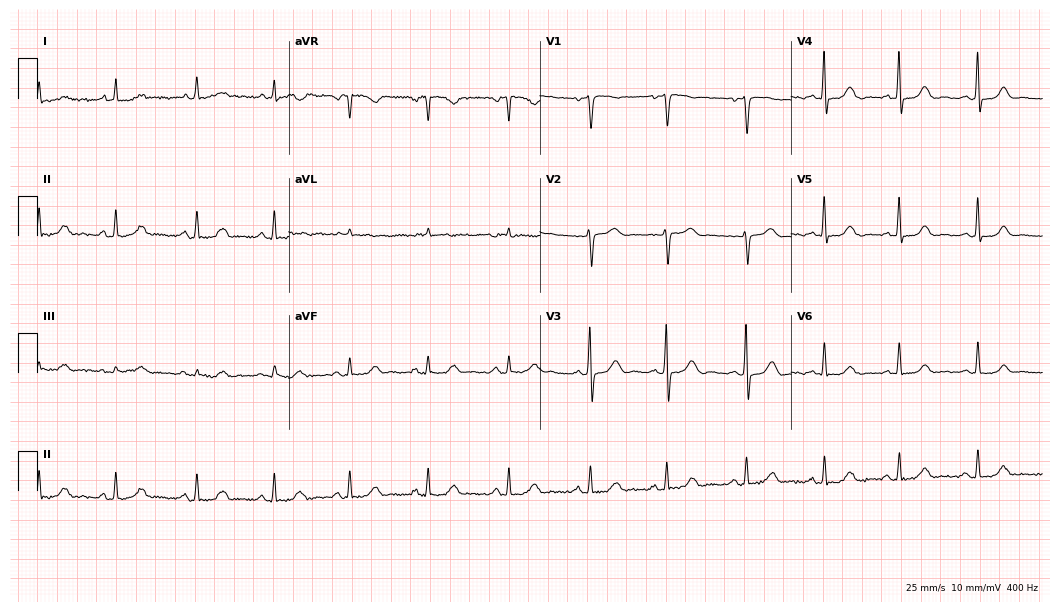
Standard 12-lead ECG recorded from a female patient, 55 years old. Read as a normal ECG.